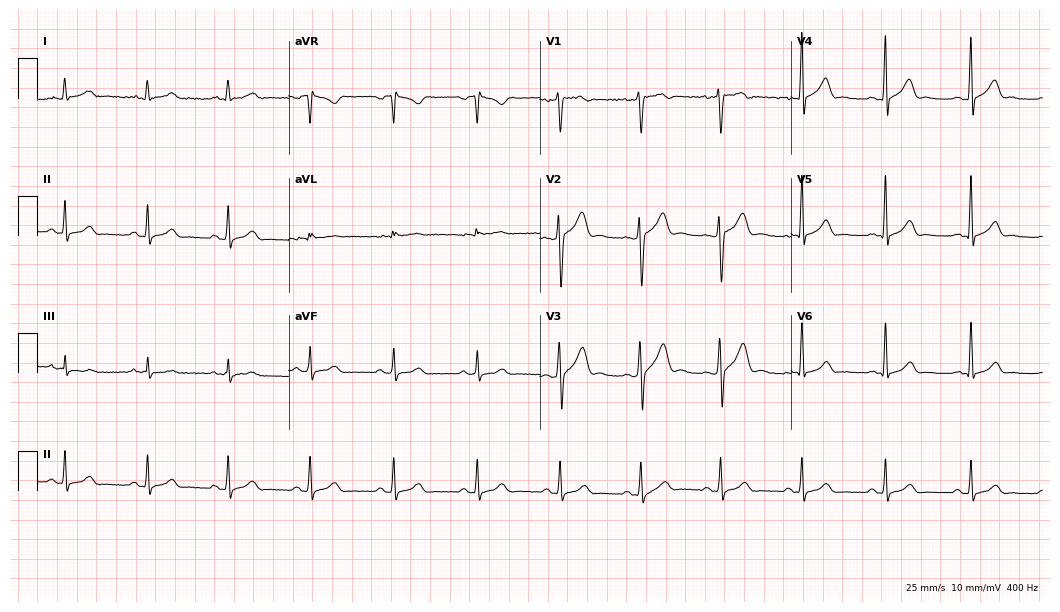
12-lead ECG (10.2-second recording at 400 Hz) from a male, 26 years old. Labelled as a normal ECG.